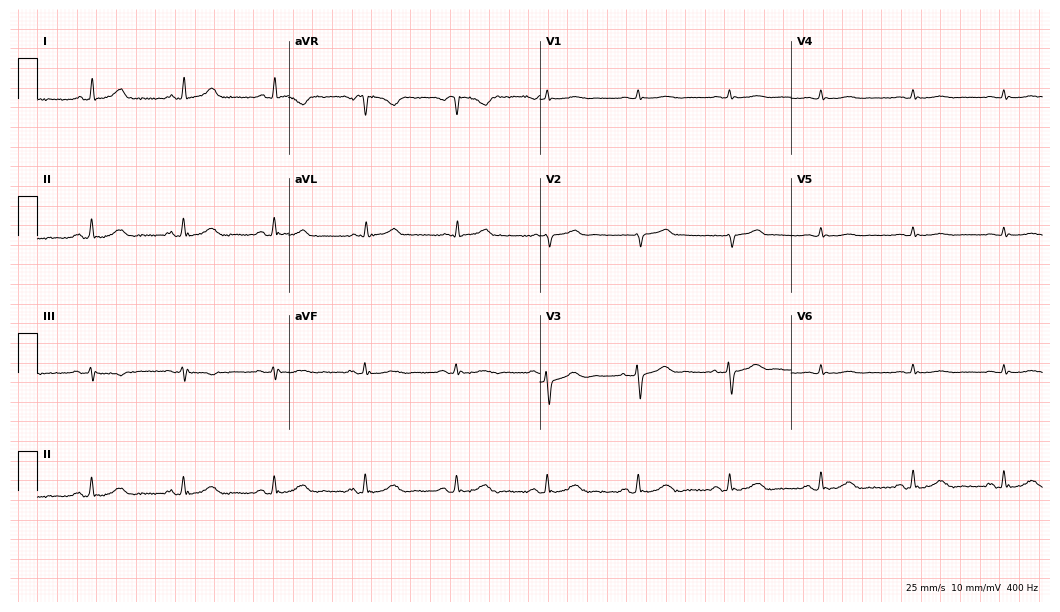
ECG — a 59-year-old female patient. Screened for six findings — first-degree AV block, right bundle branch block (RBBB), left bundle branch block (LBBB), sinus bradycardia, atrial fibrillation (AF), sinus tachycardia — none is recorded. Other findings, if any, are not listed.